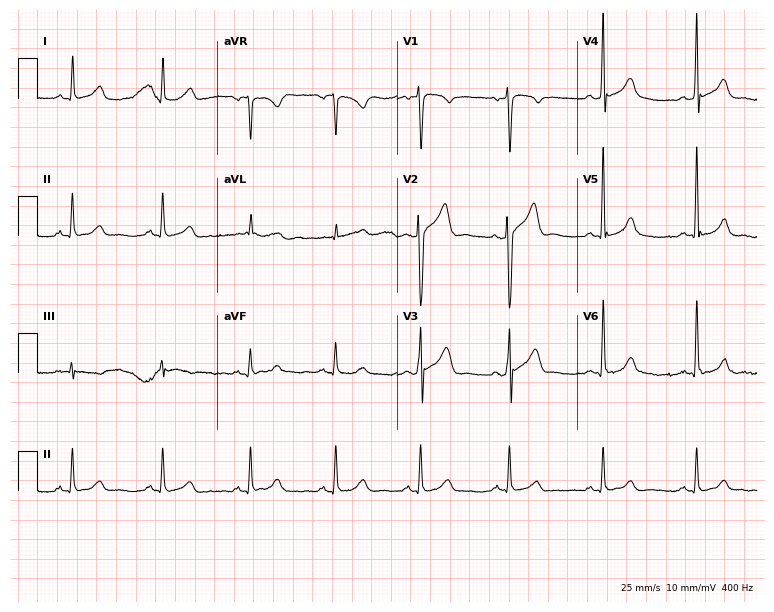
12-lead ECG (7.3-second recording at 400 Hz) from a man, 47 years old. Screened for six findings — first-degree AV block, right bundle branch block, left bundle branch block, sinus bradycardia, atrial fibrillation, sinus tachycardia — none is recorded.